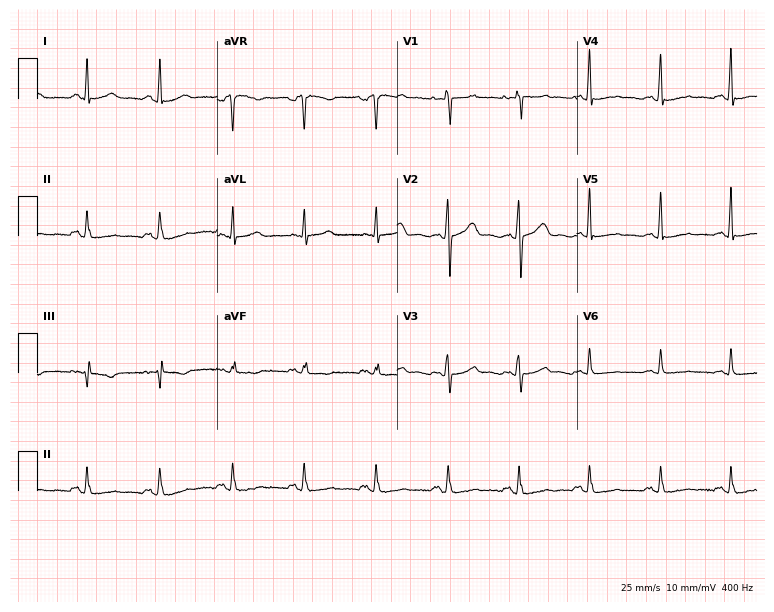
Electrocardiogram (7.3-second recording at 400 Hz), a 48-year-old female patient. Of the six screened findings (first-degree AV block, right bundle branch block, left bundle branch block, sinus bradycardia, atrial fibrillation, sinus tachycardia), none is recorded.